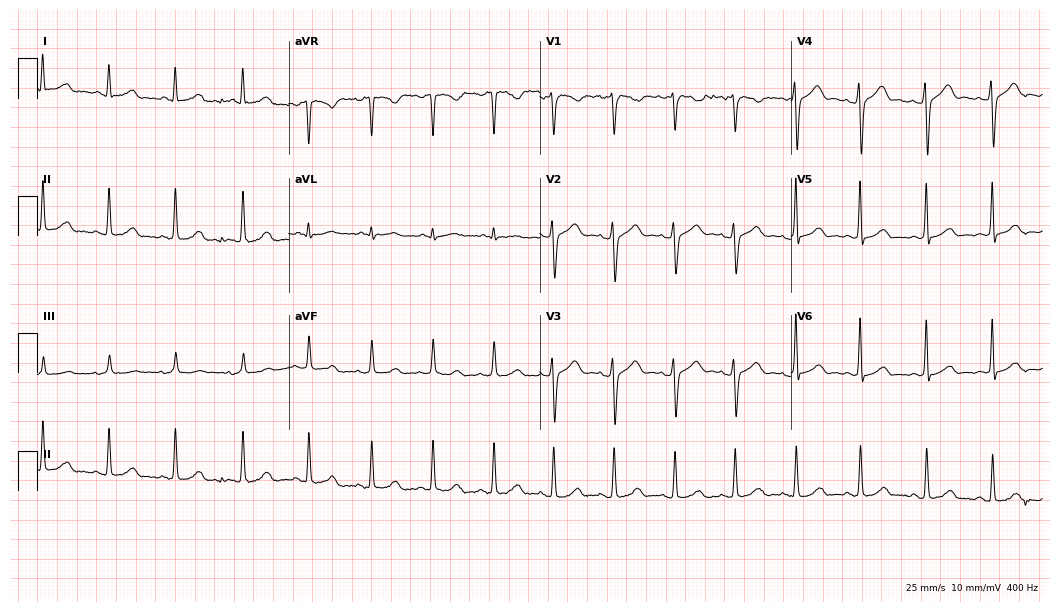
ECG — a woman, 26 years old. Labelled as a normal ECG.